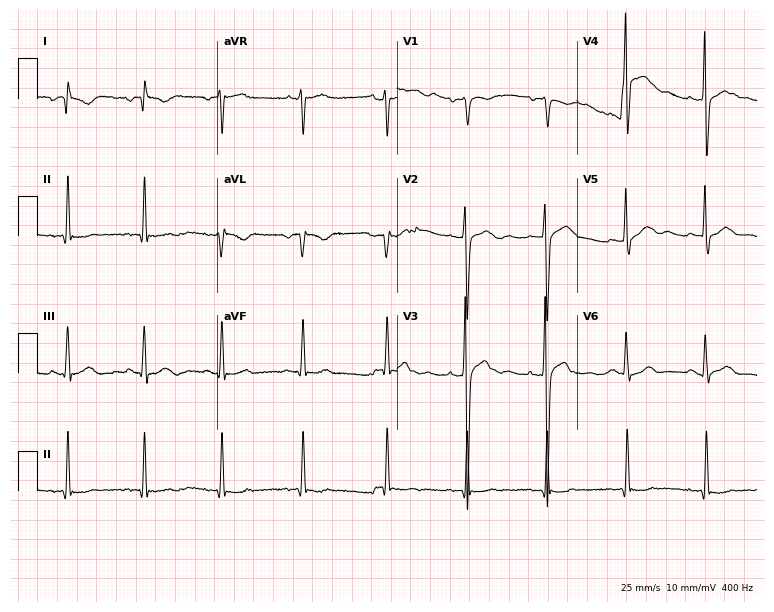
12-lead ECG from a male patient, 39 years old. Screened for six findings — first-degree AV block, right bundle branch block, left bundle branch block, sinus bradycardia, atrial fibrillation, sinus tachycardia — none is recorded.